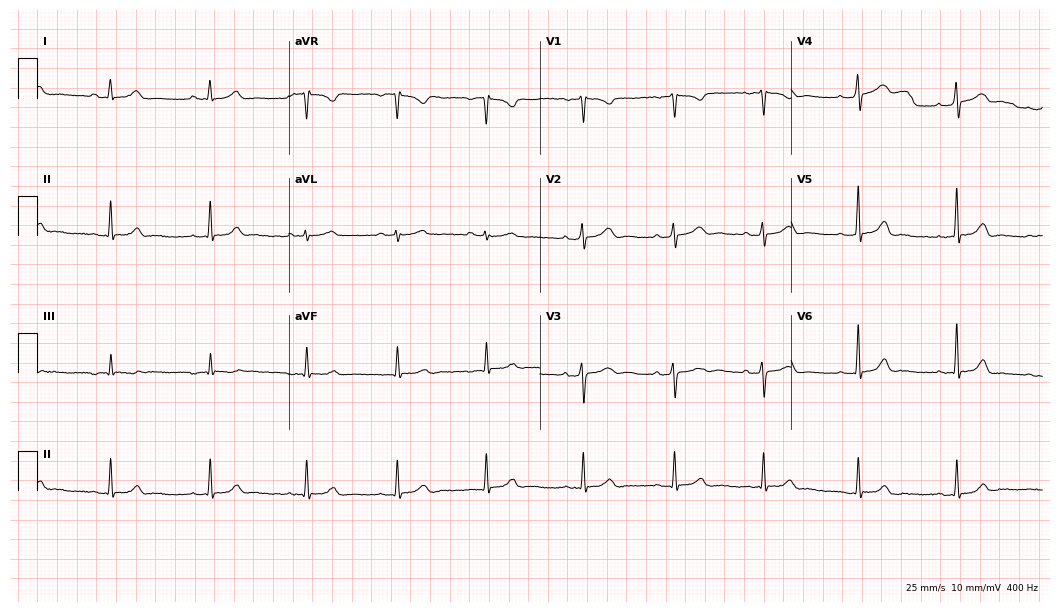
Standard 12-lead ECG recorded from a female, 24 years old (10.2-second recording at 400 Hz). None of these six findings is recorded: first-degree AV block, right bundle branch block, left bundle branch block, sinus bradycardia, atrial fibrillation, sinus tachycardia. Only these six findings were labelled.